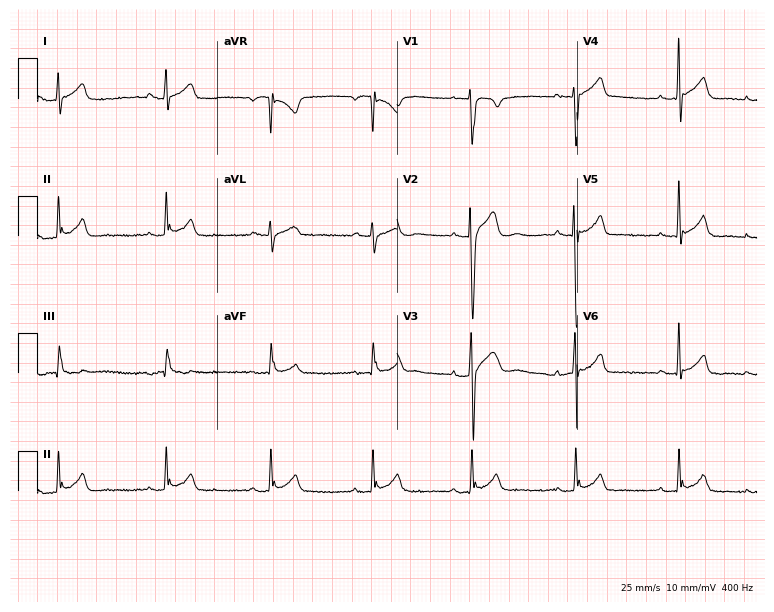
Standard 12-lead ECG recorded from a man, 26 years old. None of these six findings is recorded: first-degree AV block, right bundle branch block (RBBB), left bundle branch block (LBBB), sinus bradycardia, atrial fibrillation (AF), sinus tachycardia. Only these six findings were labelled.